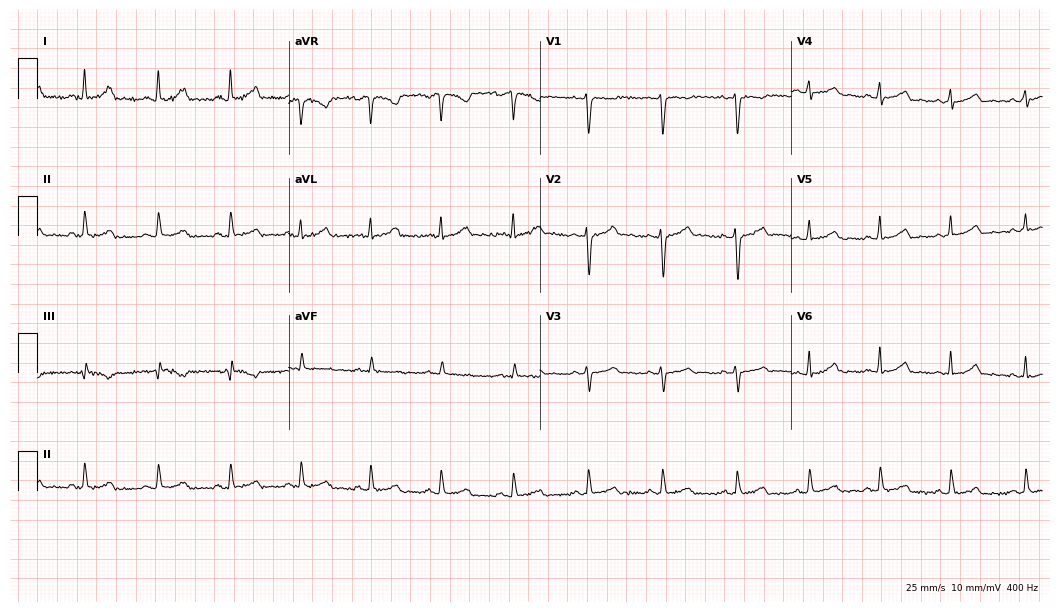
Resting 12-lead electrocardiogram. Patient: a female, 32 years old. Read as a normal ECG.